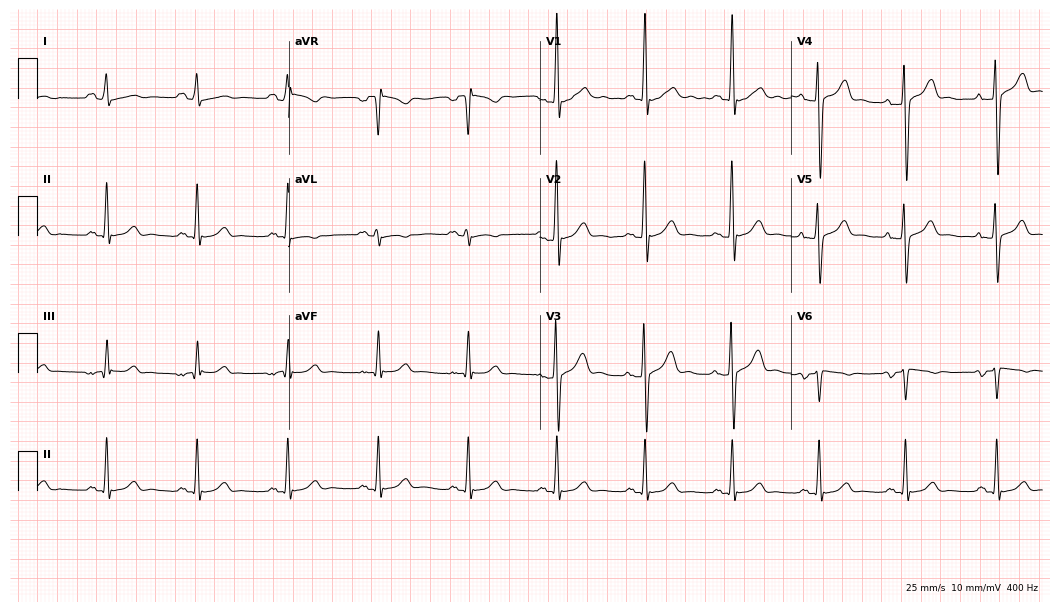
Electrocardiogram, a male patient, 40 years old. Of the six screened findings (first-degree AV block, right bundle branch block (RBBB), left bundle branch block (LBBB), sinus bradycardia, atrial fibrillation (AF), sinus tachycardia), none is recorded. Other findings, if any, are not listed.